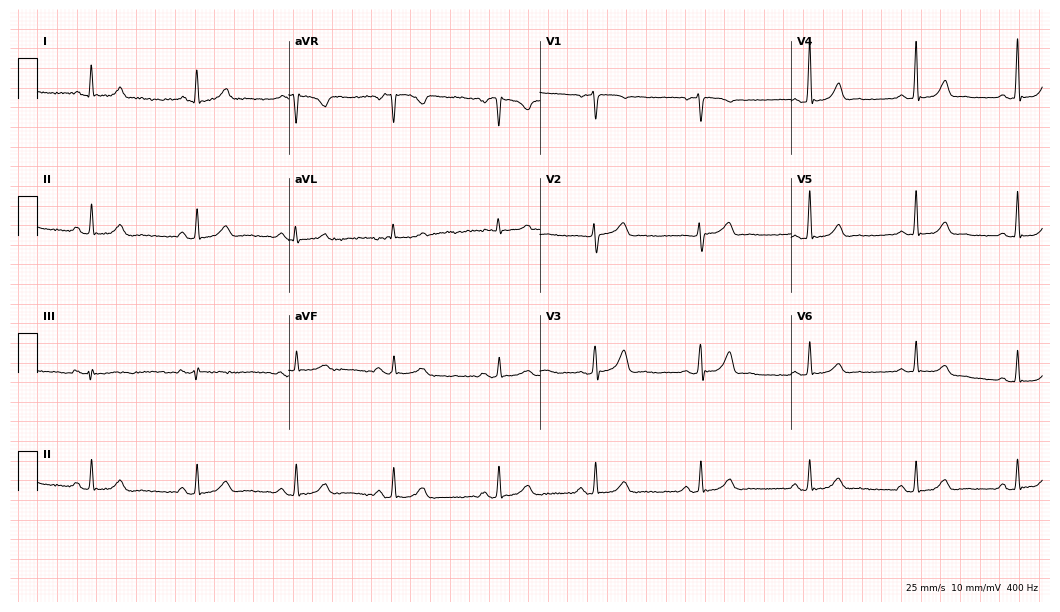
Electrocardiogram, a 50-year-old female. Overall reading on record: normal ECG.